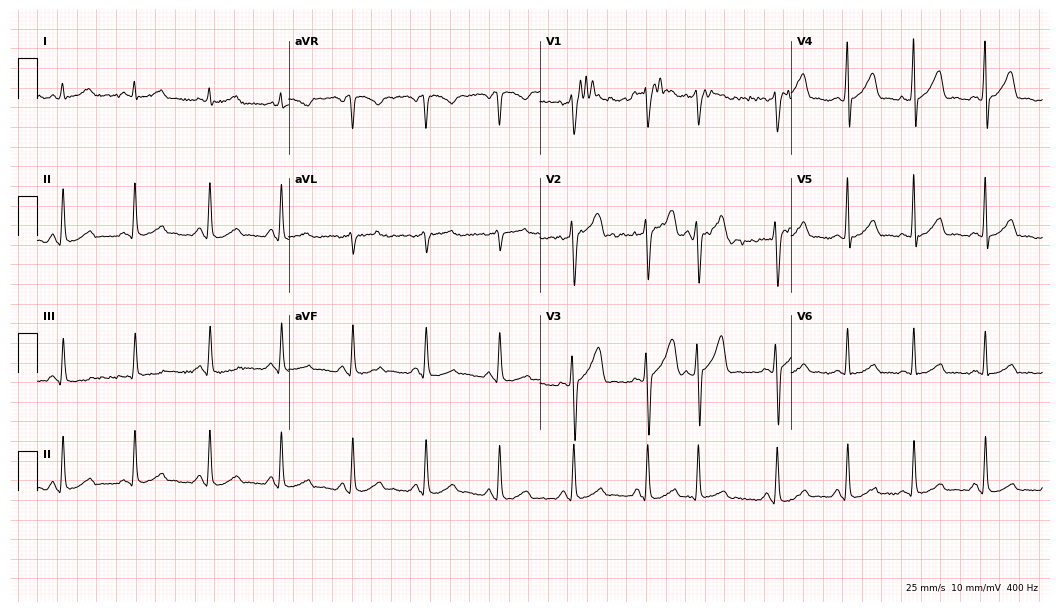
12-lead ECG from a male, 53 years old. No first-degree AV block, right bundle branch block (RBBB), left bundle branch block (LBBB), sinus bradycardia, atrial fibrillation (AF) or sinus tachycardia recorded for this tracing. Findings outside these six are not listed.